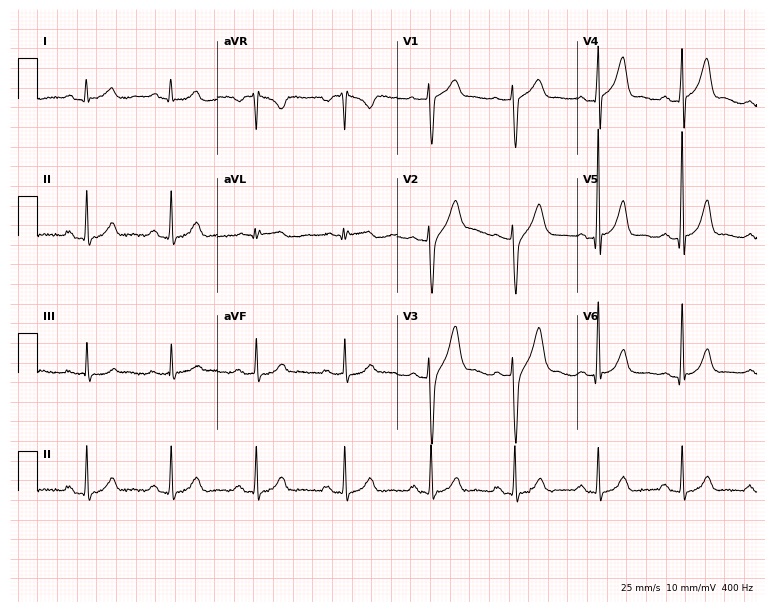
12-lead ECG from a male patient, 33 years old. Labelled as a normal ECG.